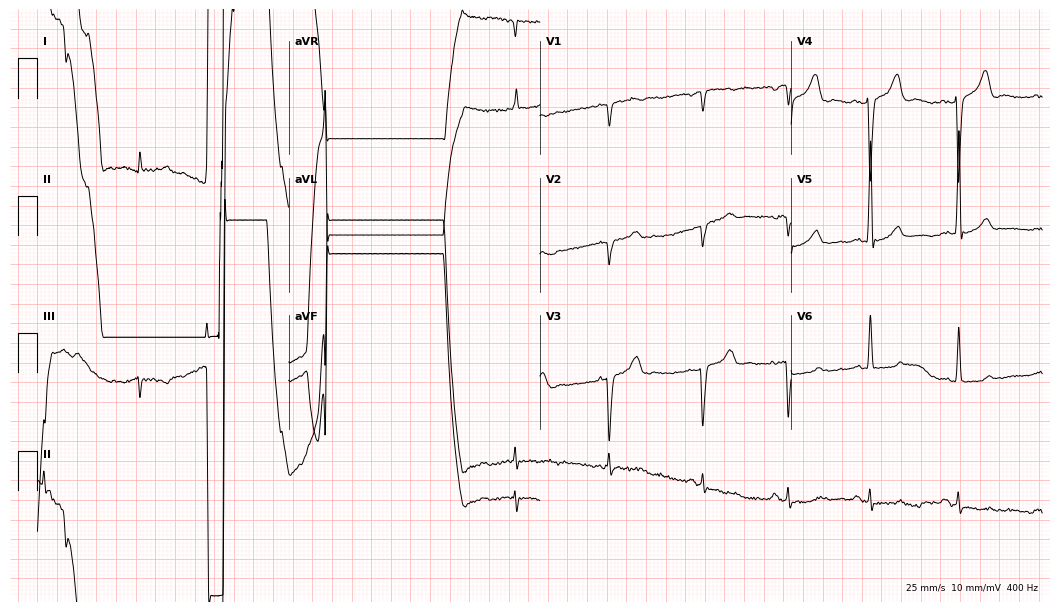
Resting 12-lead electrocardiogram (10.2-second recording at 400 Hz). Patient: a man, 70 years old. None of these six findings is recorded: first-degree AV block, right bundle branch block, left bundle branch block, sinus bradycardia, atrial fibrillation, sinus tachycardia. Other findings, if any, are not listed.